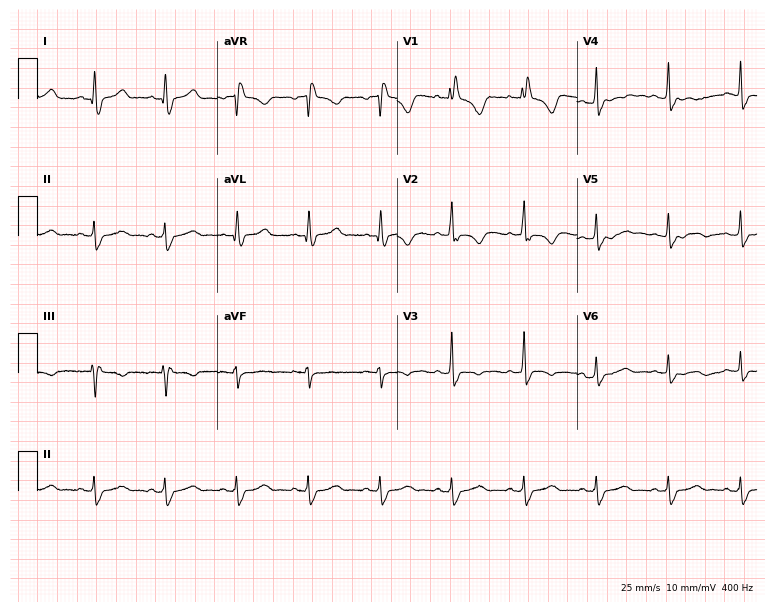
Resting 12-lead electrocardiogram. Patient: a 42-year-old female. The tracing shows right bundle branch block (RBBB).